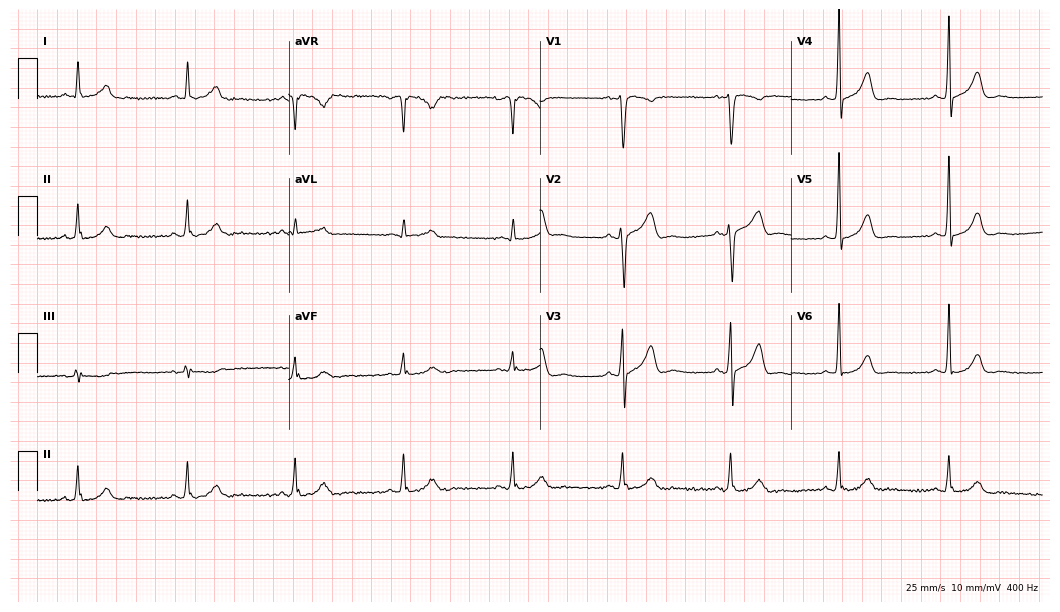
12-lead ECG from a 65-year-old male patient. Labelled as a normal ECG.